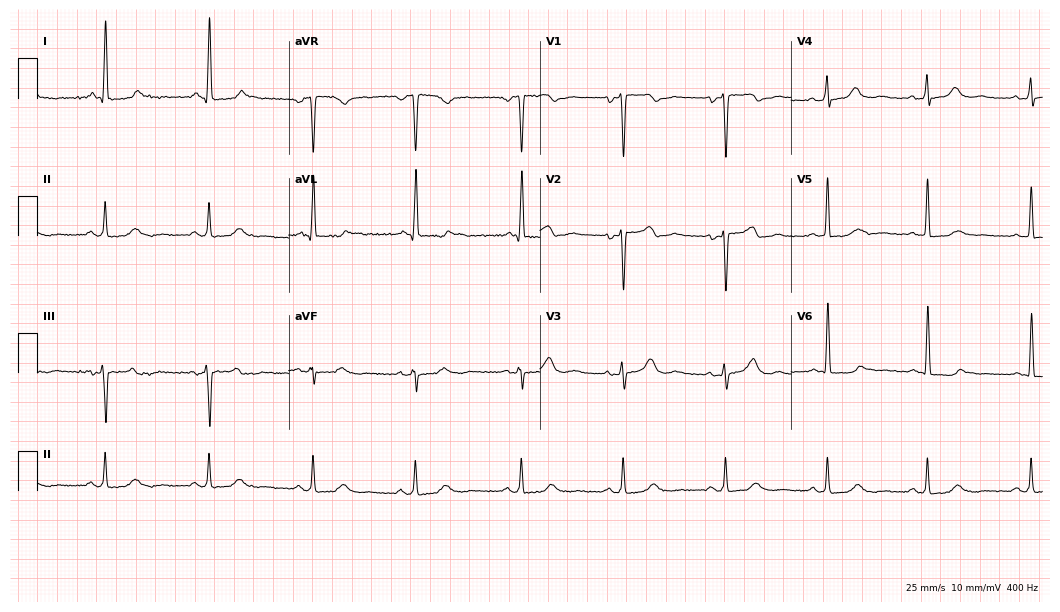
ECG — a 51-year-old female patient. Screened for six findings — first-degree AV block, right bundle branch block, left bundle branch block, sinus bradycardia, atrial fibrillation, sinus tachycardia — none is recorded. Findings outside these six are not listed.